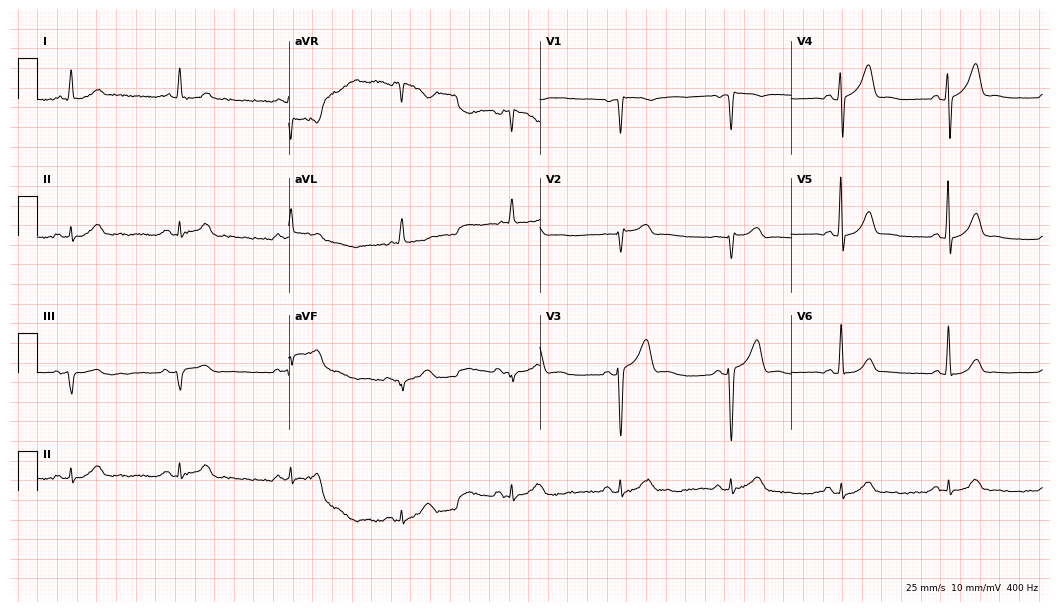
12-lead ECG from a 70-year-old male. No first-degree AV block, right bundle branch block, left bundle branch block, sinus bradycardia, atrial fibrillation or sinus tachycardia recorded for this tracing. Only these six findings were labelled.